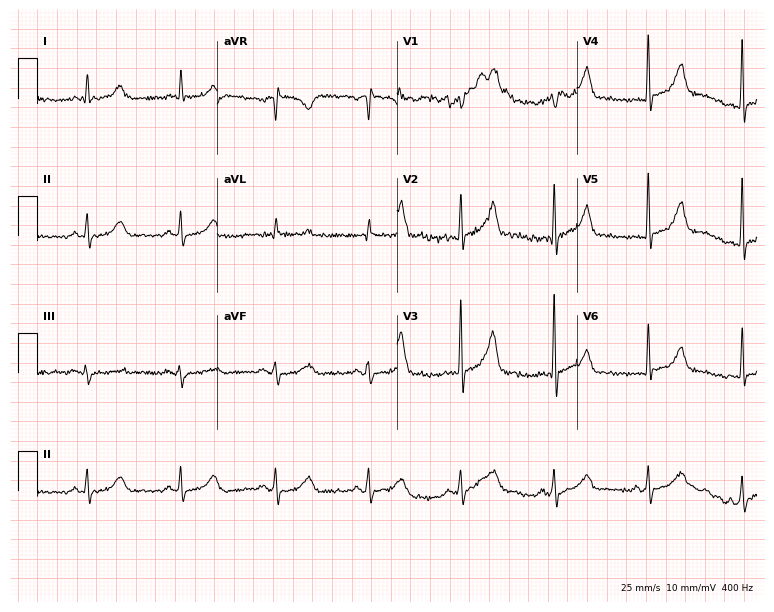
ECG — a man, 71 years old. Screened for six findings — first-degree AV block, right bundle branch block (RBBB), left bundle branch block (LBBB), sinus bradycardia, atrial fibrillation (AF), sinus tachycardia — none is recorded. Findings outside these six are not listed.